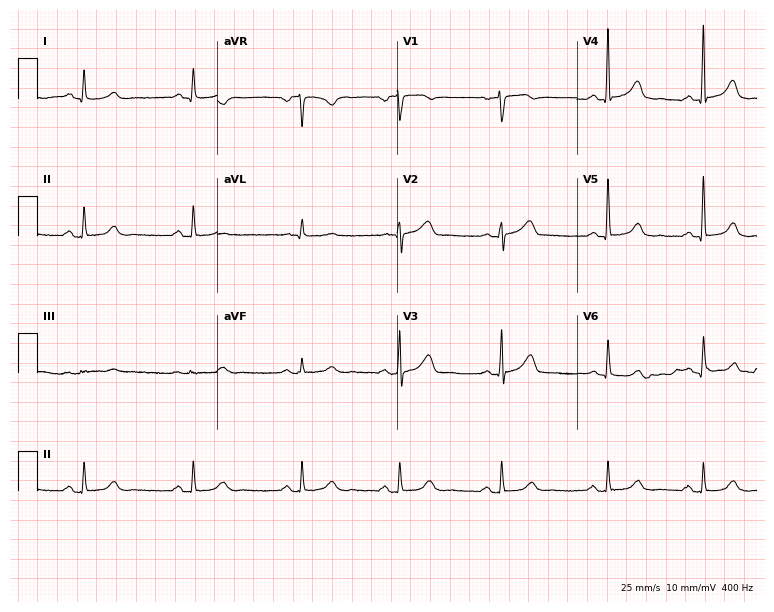
ECG — a 65-year-old female patient. Labelled as a normal ECG.